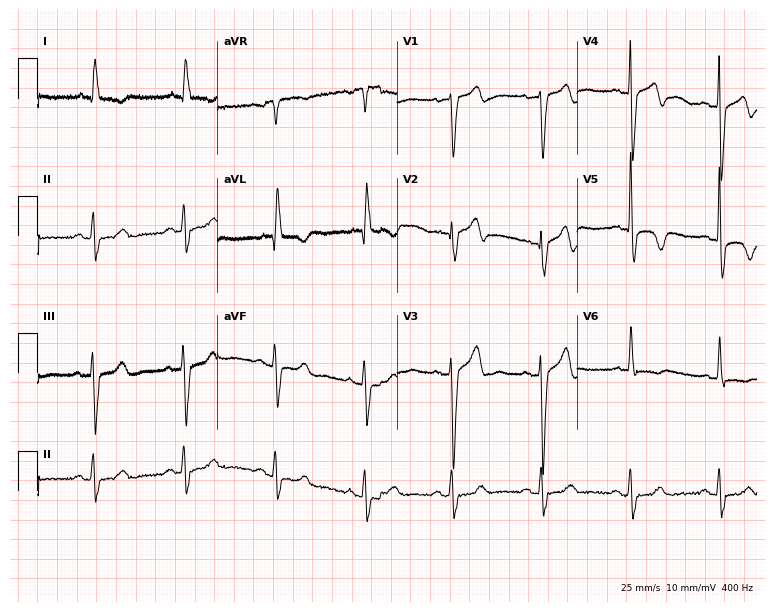
Resting 12-lead electrocardiogram. Patient: an 80-year-old male. None of these six findings is recorded: first-degree AV block, right bundle branch block, left bundle branch block, sinus bradycardia, atrial fibrillation, sinus tachycardia.